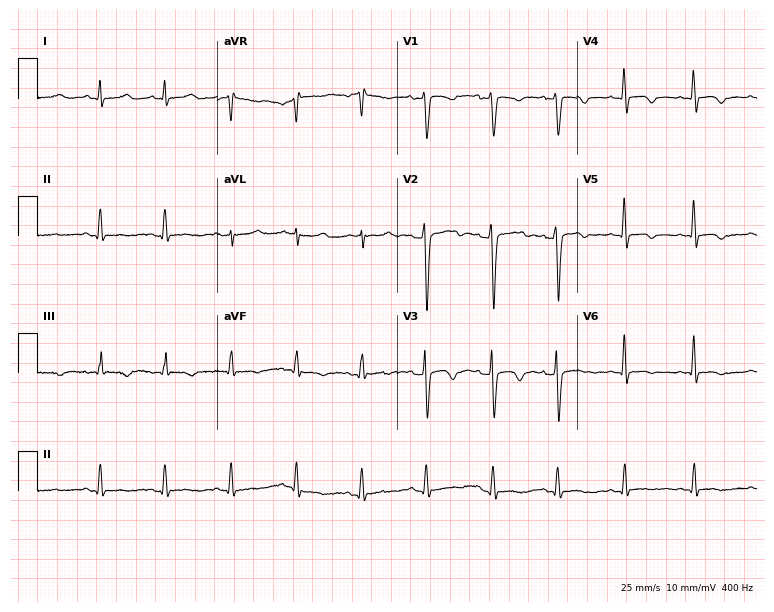
12-lead ECG from a 19-year-old woman. No first-degree AV block, right bundle branch block, left bundle branch block, sinus bradycardia, atrial fibrillation or sinus tachycardia recorded for this tracing.